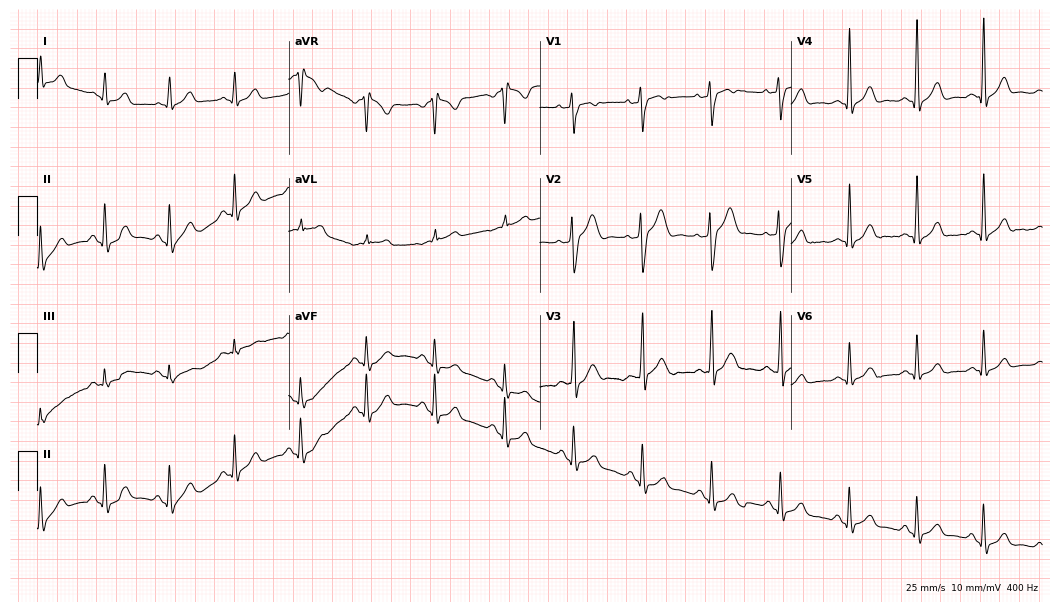
Electrocardiogram, a 31-year-old male patient. Of the six screened findings (first-degree AV block, right bundle branch block (RBBB), left bundle branch block (LBBB), sinus bradycardia, atrial fibrillation (AF), sinus tachycardia), none is recorded. Only these six findings were labelled.